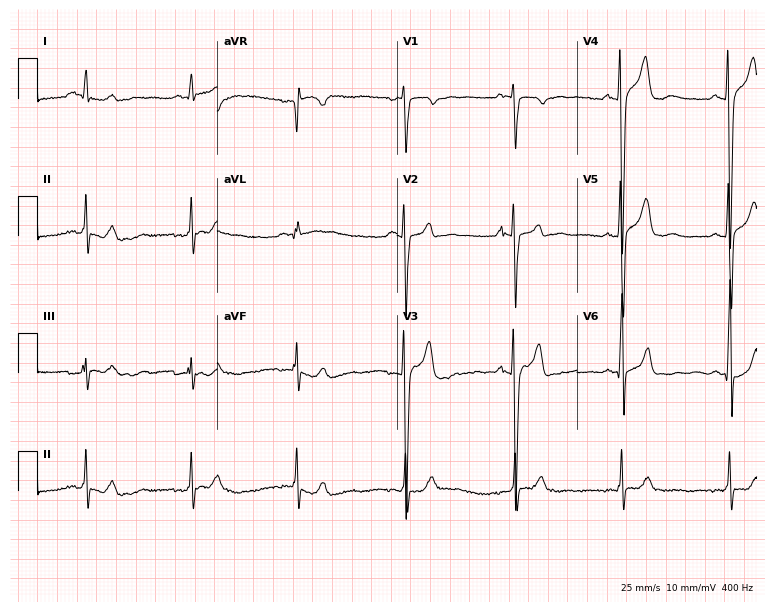
Electrocardiogram, a male, 39 years old. Overall reading on record: normal ECG.